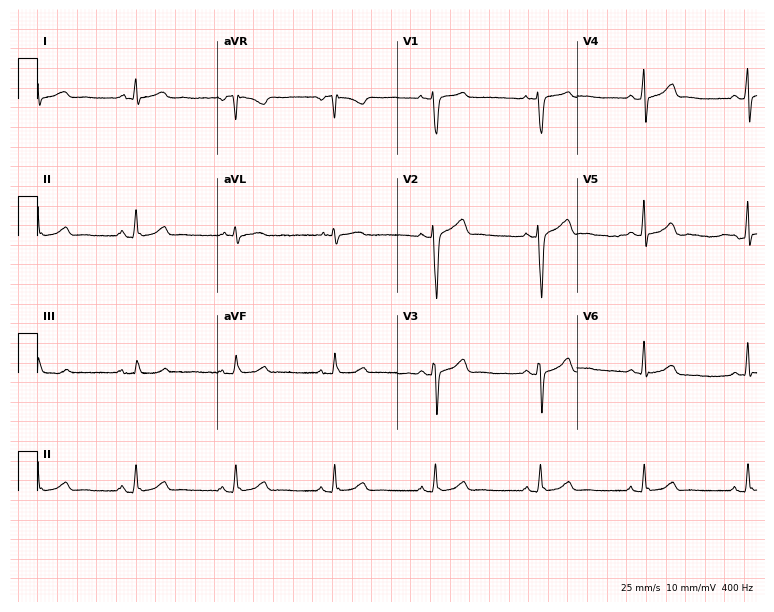
Standard 12-lead ECG recorded from a female patient, 48 years old (7.3-second recording at 400 Hz). None of these six findings is recorded: first-degree AV block, right bundle branch block (RBBB), left bundle branch block (LBBB), sinus bradycardia, atrial fibrillation (AF), sinus tachycardia. Other findings, if any, are not listed.